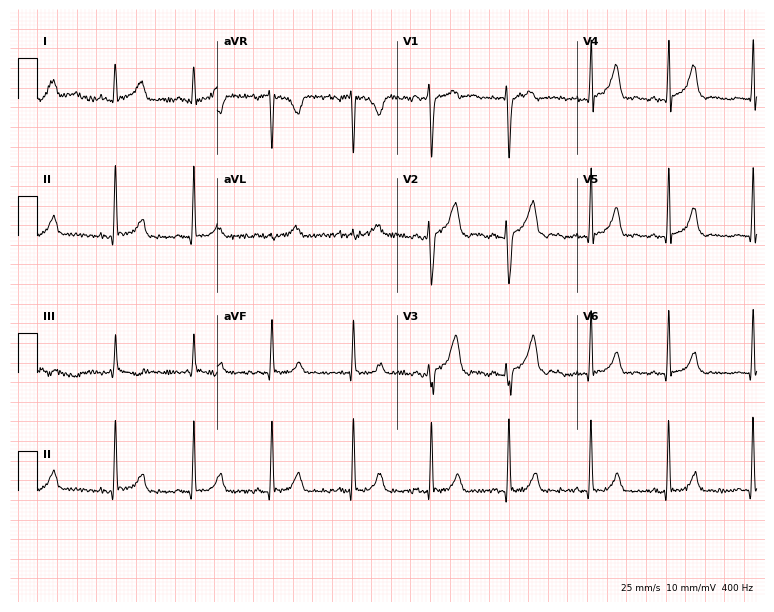
Resting 12-lead electrocardiogram. Patient: a female, 22 years old. None of these six findings is recorded: first-degree AV block, right bundle branch block, left bundle branch block, sinus bradycardia, atrial fibrillation, sinus tachycardia.